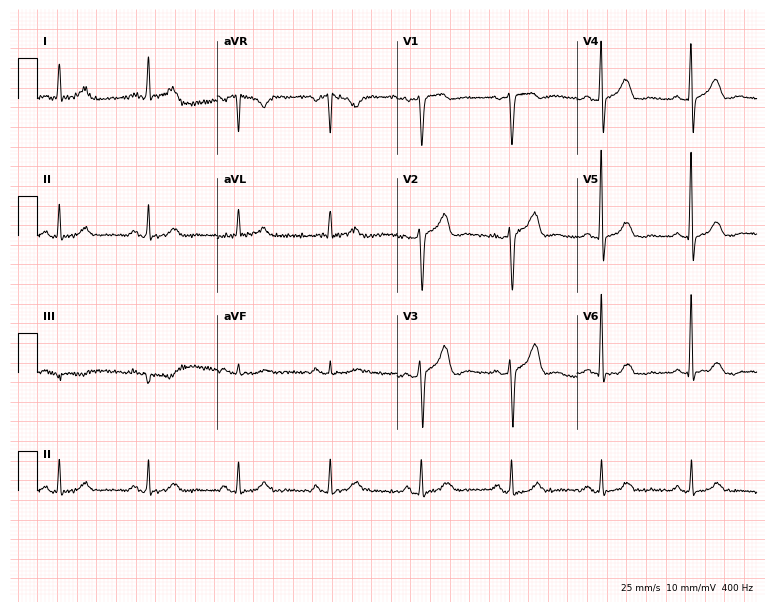
Electrocardiogram (7.3-second recording at 400 Hz), a 73-year-old man. Overall reading on record: normal ECG.